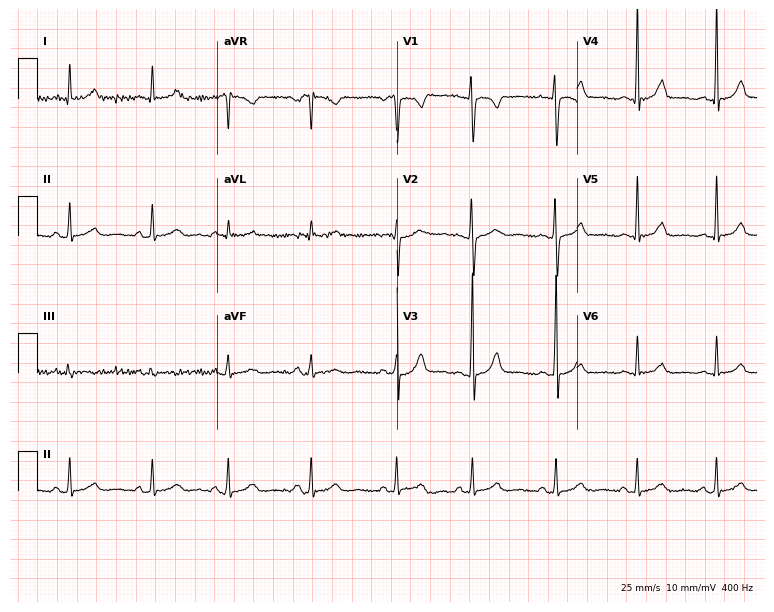
12-lead ECG (7.3-second recording at 400 Hz) from a 21-year-old female. Labelled as a normal ECG.